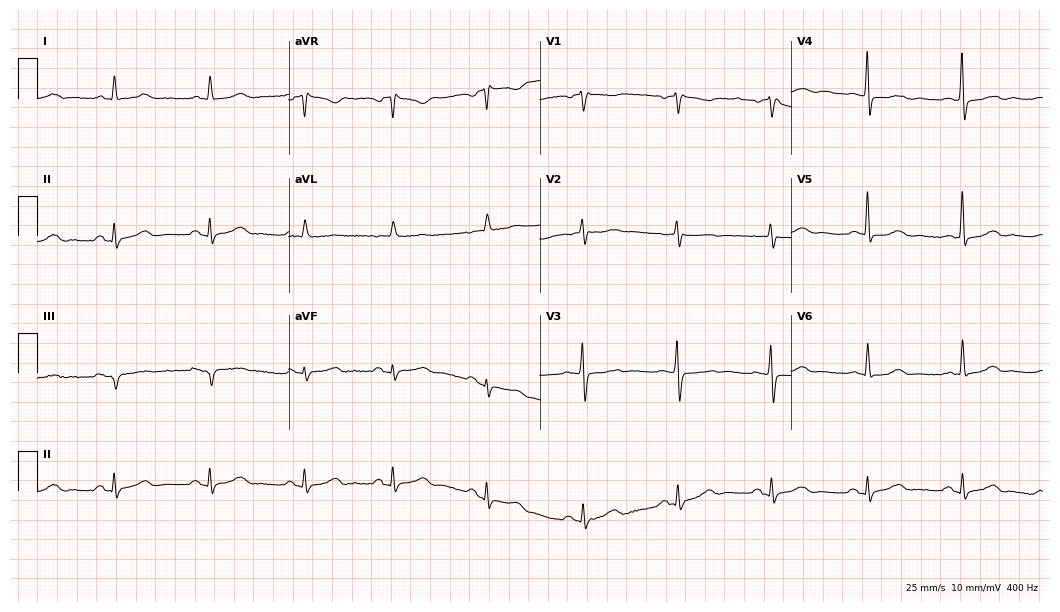
Standard 12-lead ECG recorded from a female patient, 80 years old. None of these six findings is recorded: first-degree AV block, right bundle branch block, left bundle branch block, sinus bradycardia, atrial fibrillation, sinus tachycardia.